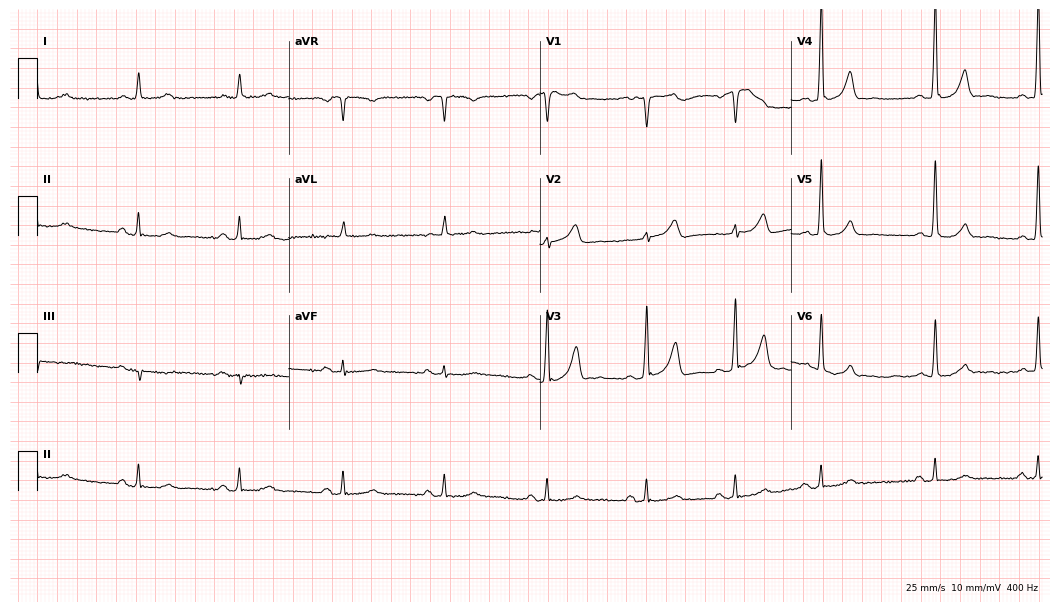
12-lead ECG (10.2-second recording at 400 Hz) from a 70-year-old man. Screened for six findings — first-degree AV block, right bundle branch block (RBBB), left bundle branch block (LBBB), sinus bradycardia, atrial fibrillation (AF), sinus tachycardia — none is recorded.